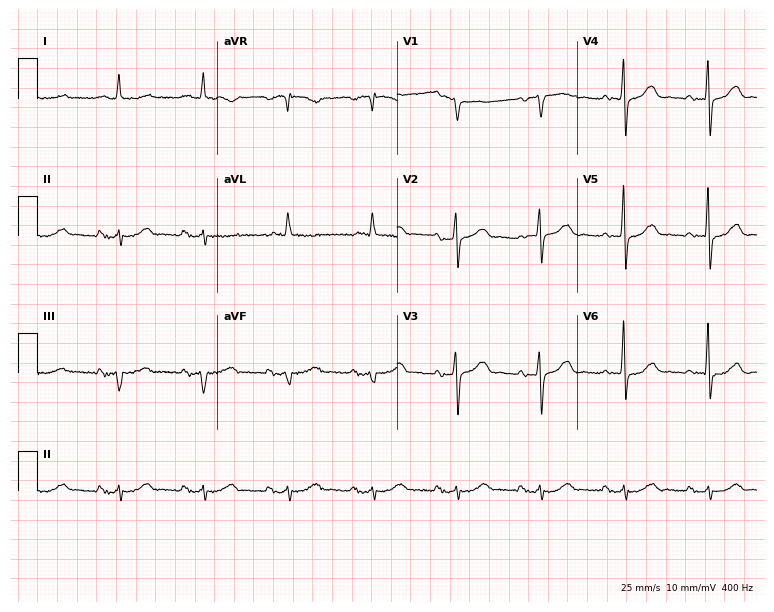
12-lead ECG (7.3-second recording at 400 Hz) from an 80-year-old male patient. Screened for six findings — first-degree AV block, right bundle branch block, left bundle branch block, sinus bradycardia, atrial fibrillation, sinus tachycardia — none is recorded.